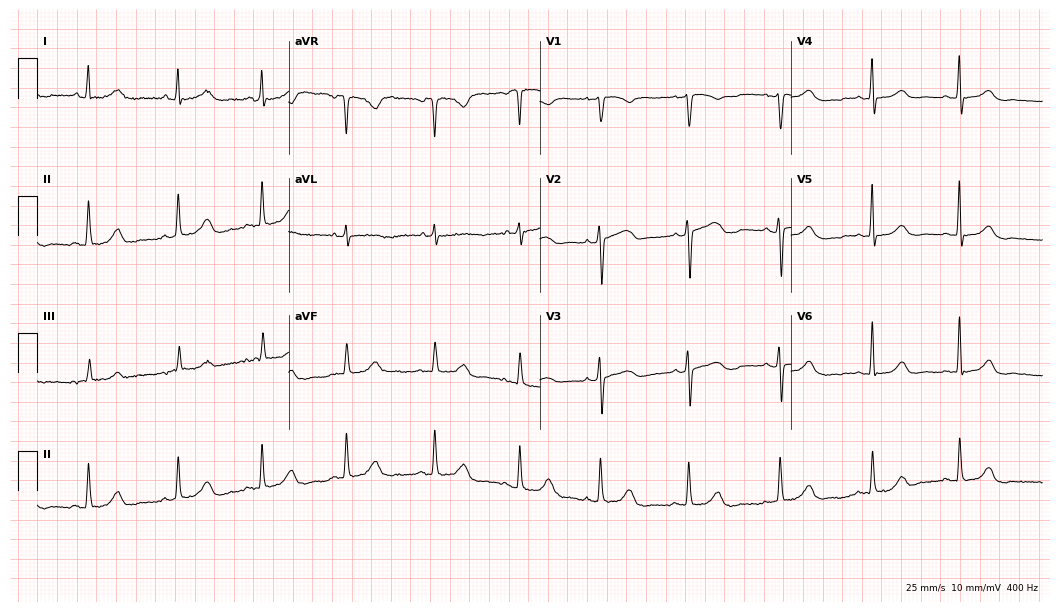
Electrocardiogram, a 68-year-old woman. Overall reading on record: normal ECG.